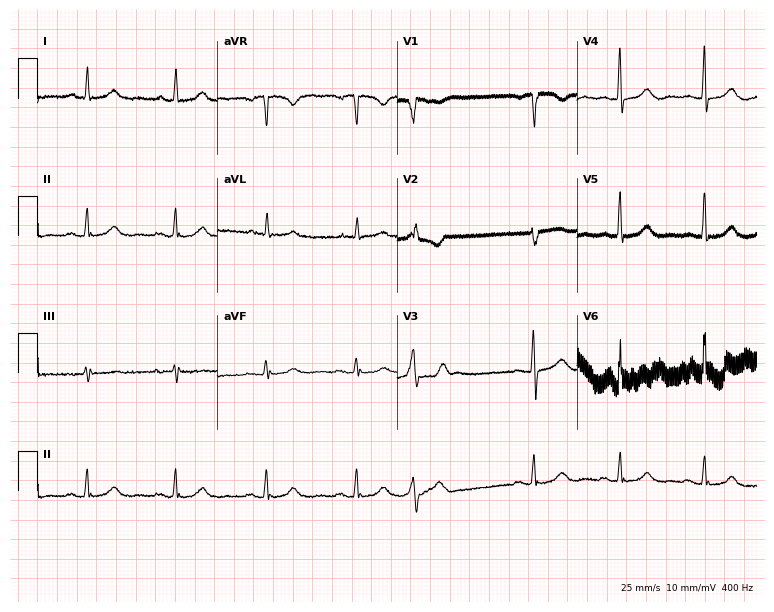
Electrocardiogram (7.3-second recording at 400 Hz), a 77-year-old female. Of the six screened findings (first-degree AV block, right bundle branch block, left bundle branch block, sinus bradycardia, atrial fibrillation, sinus tachycardia), none is recorded. Other findings, if any, are not listed.